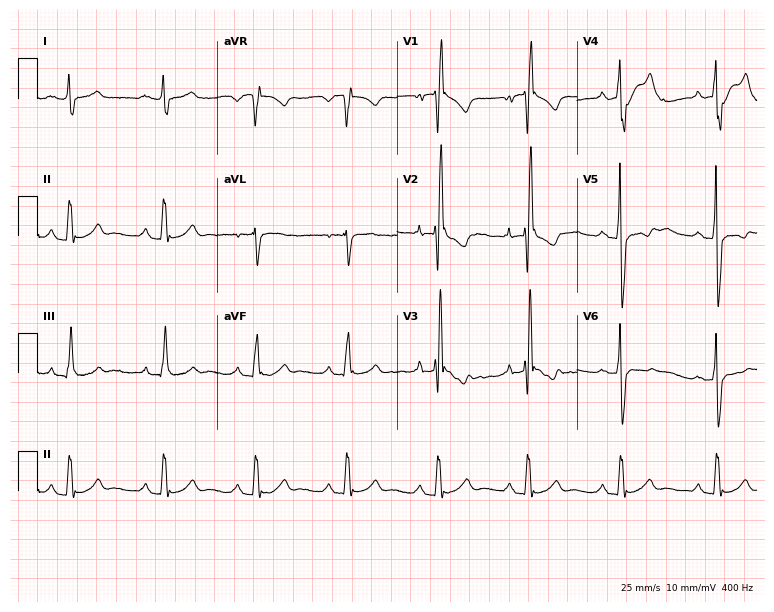
Resting 12-lead electrocardiogram. Patient: a male, 29 years old. None of these six findings is recorded: first-degree AV block, right bundle branch block, left bundle branch block, sinus bradycardia, atrial fibrillation, sinus tachycardia.